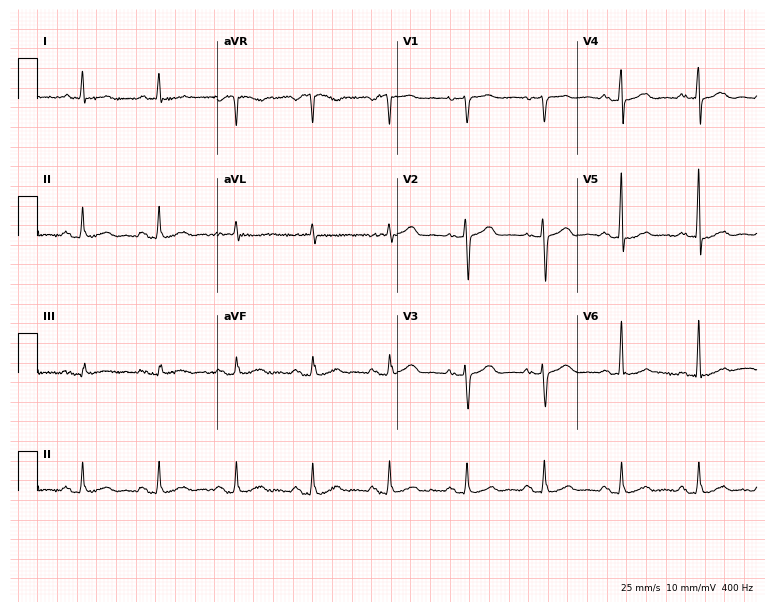
ECG — a female, 72 years old. Labelled as a normal ECG.